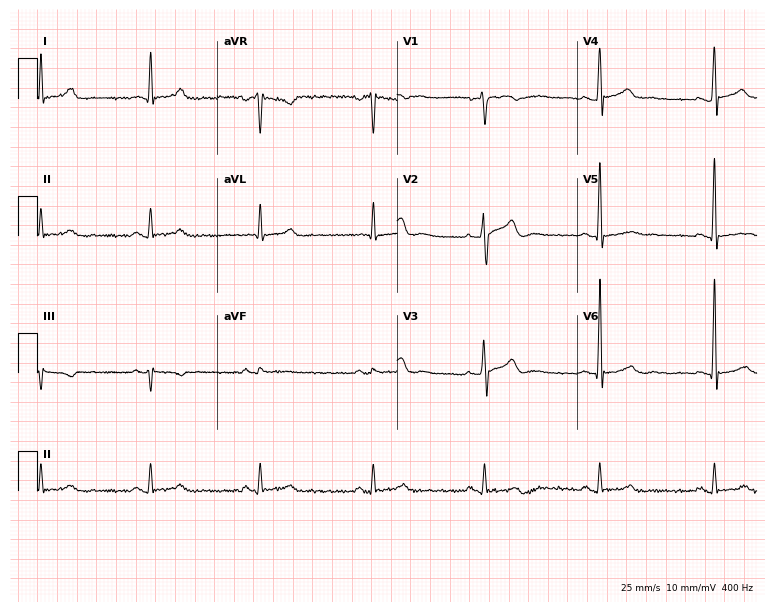
Standard 12-lead ECG recorded from a male patient, 45 years old (7.3-second recording at 400 Hz). None of these six findings is recorded: first-degree AV block, right bundle branch block, left bundle branch block, sinus bradycardia, atrial fibrillation, sinus tachycardia.